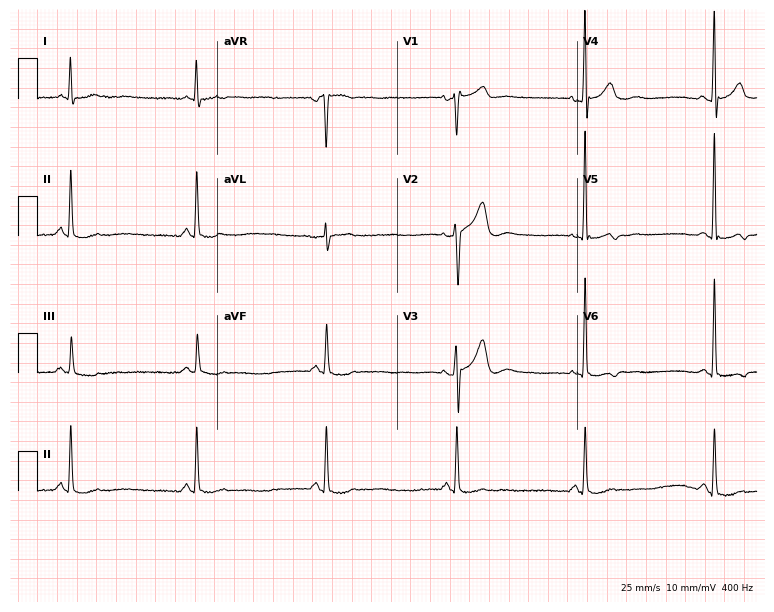
12-lead ECG from a 66-year-old male (7.3-second recording at 400 Hz). No first-degree AV block, right bundle branch block, left bundle branch block, sinus bradycardia, atrial fibrillation or sinus tachycardia recorded for this tracing.